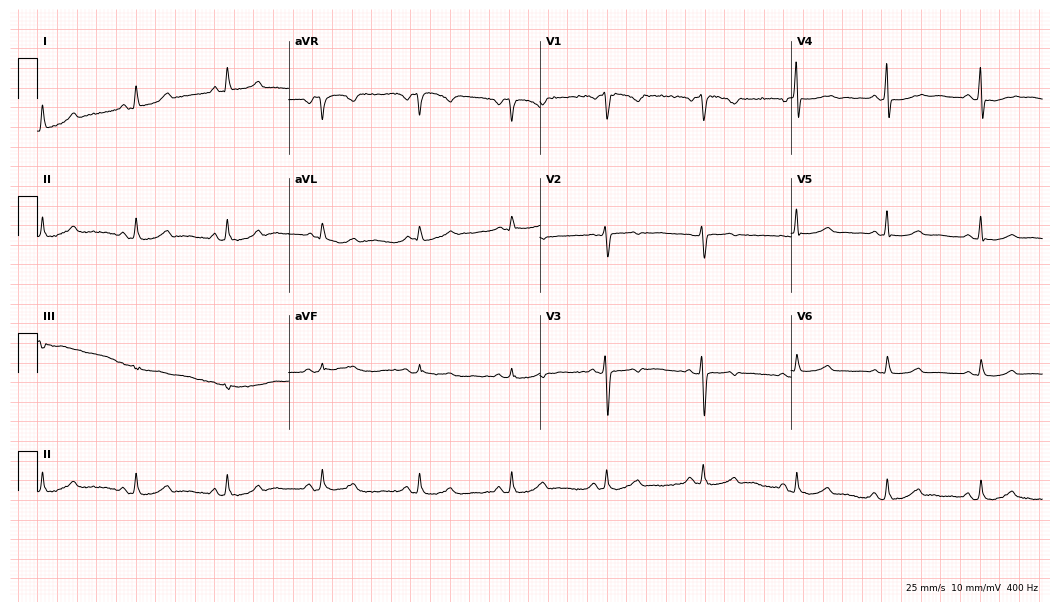
Electrocardiogram (10.2-second recording at 400 Hz), a woman, 50 years old. Of the six screened findings (first-degree AV block, right bundle branch block (RBBB), left bundle branch block (LBBB), sinus bradycardia, atrial fibrillation (AF), sinus tachycardia), none is recorded. Only these six findings were labelled.